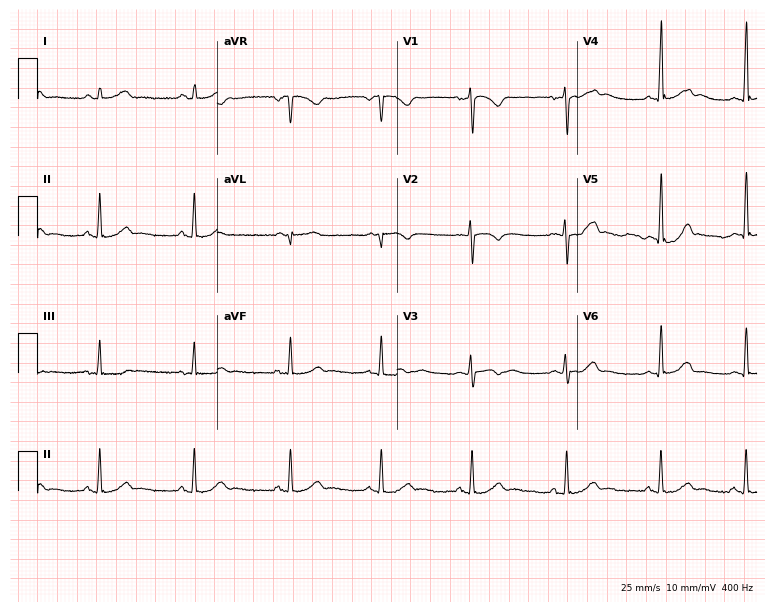
Standard 12-lead ECG recorded from a 26-year-old female. None of these six findings is recorded: first-degree AV block, right bundle branch block (RBBB), left bundle branch block (LBBB), sinus bradycardia, atrial fibrillation (AF), sinus tachycardia.